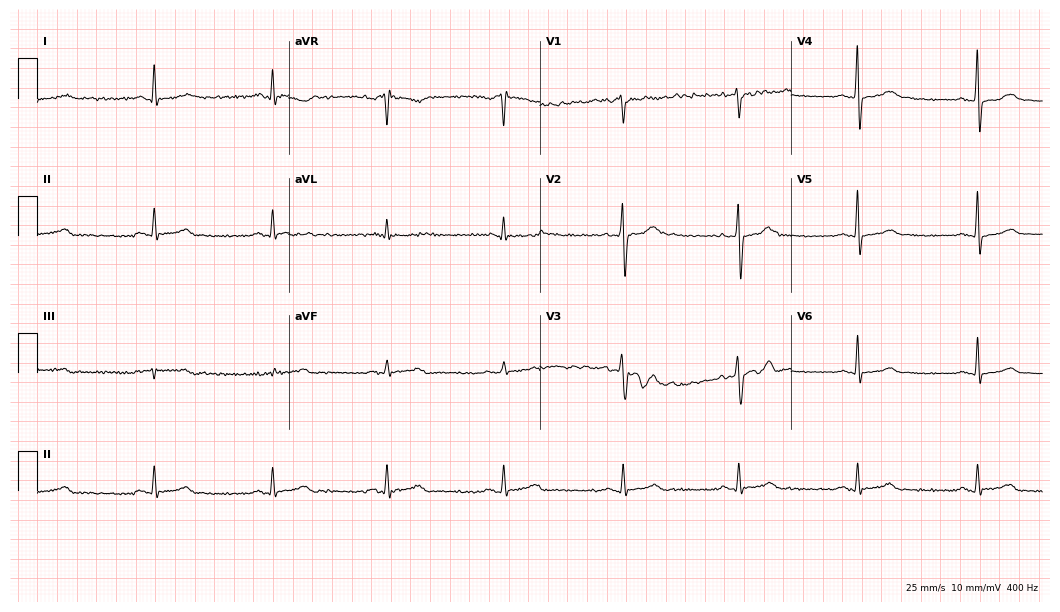
Standard 12-lead ECG recorded from a 35-year-old man. Read as a normal ECG.